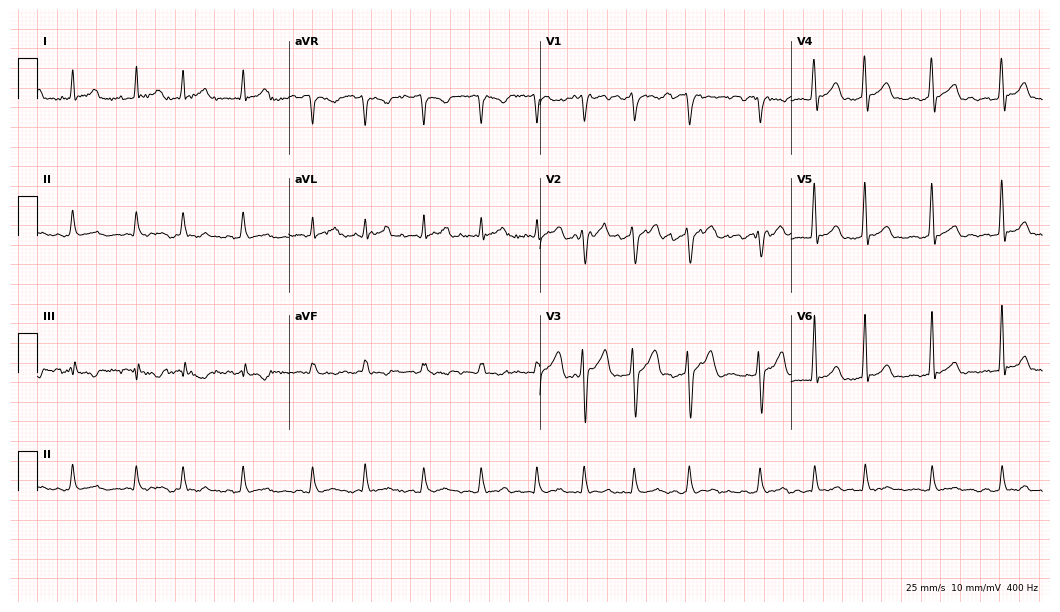
12-lead ECG from a 41-year-old man. Findings include atrial fibrillation.